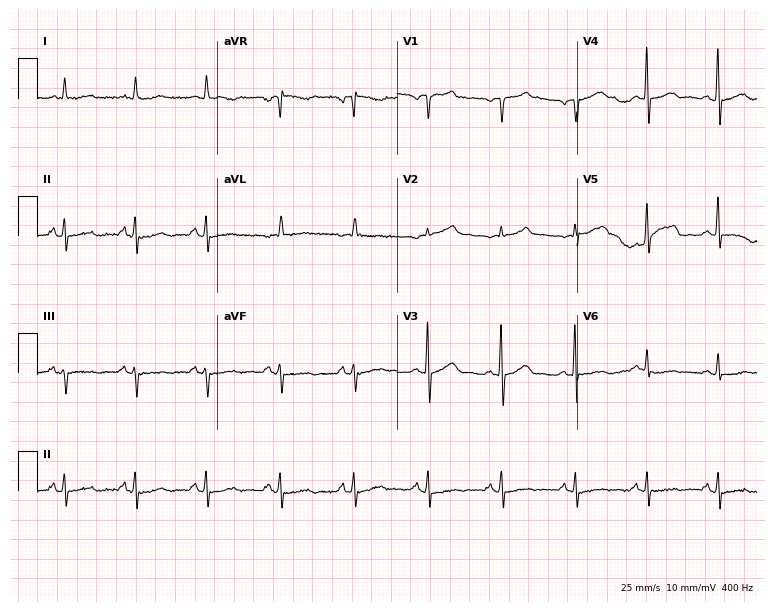
ECG (7.3-second recording at 400 Hz) — a 71-year-old male patient. Screened for six findings — first-degree AV block, right bundle branch block, left bundle branch block, sinus bradycardia, atrial fibrillation, sinus tachycardia — none is recorded.